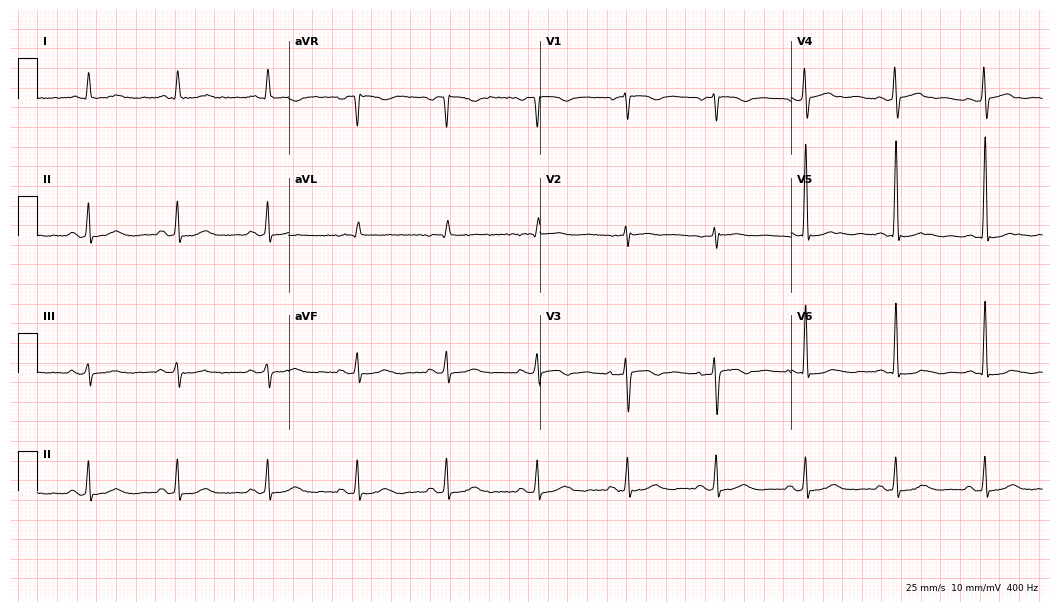
Electrocardiogram, a female patient, 68 years old. Of the six screened findings (first-degree AV block, right bundle branch block (RBBB), left bundle branch block (LBBB), sinus bradycardia, atrial fibrillation (AF), sinus tachycardia), none is recorded. Findings outside these six are not listed.